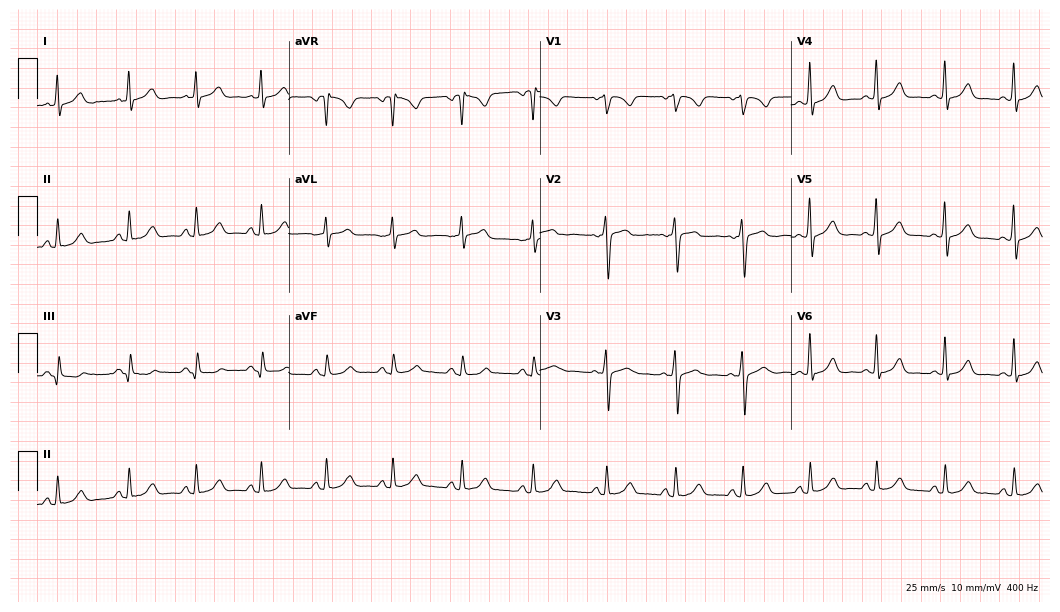
Resting 12-lead electrocardiogram. Patient: a 33-year-old female. Read as a normal ECG.